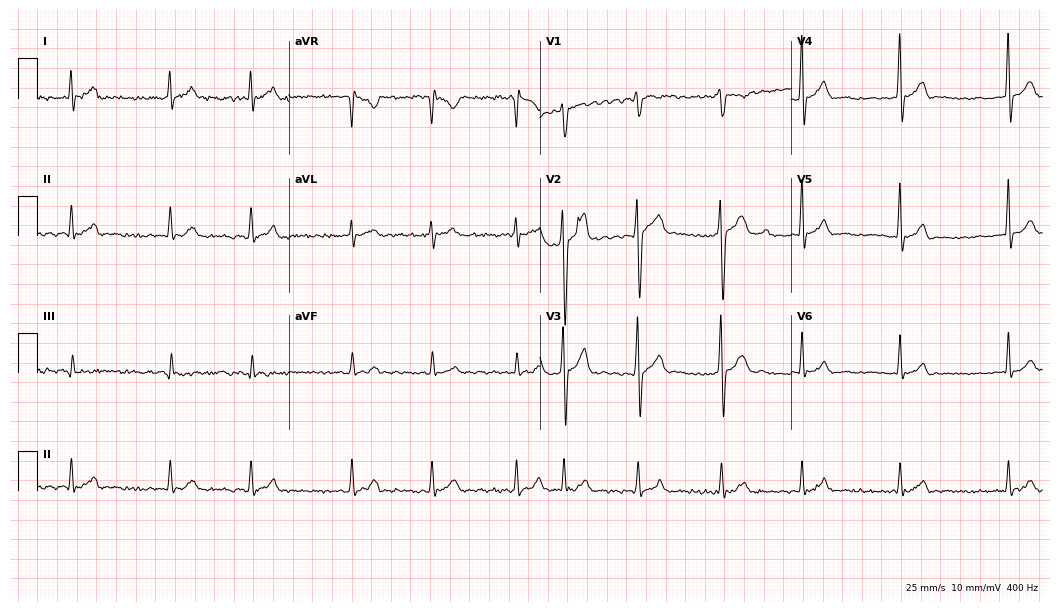
ECG (10.2-second recording at 400 Hz) — a man, 34 years old. Findings include atrial fibrillation.